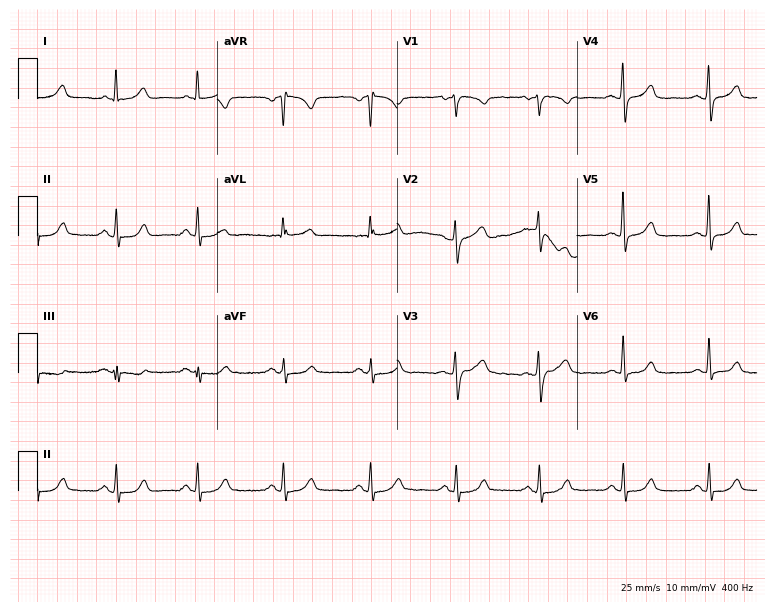
12-lead ECG (7.3-second recording at 400 Hz) from a woman, 64 years old. Labelled as a normal ECG.